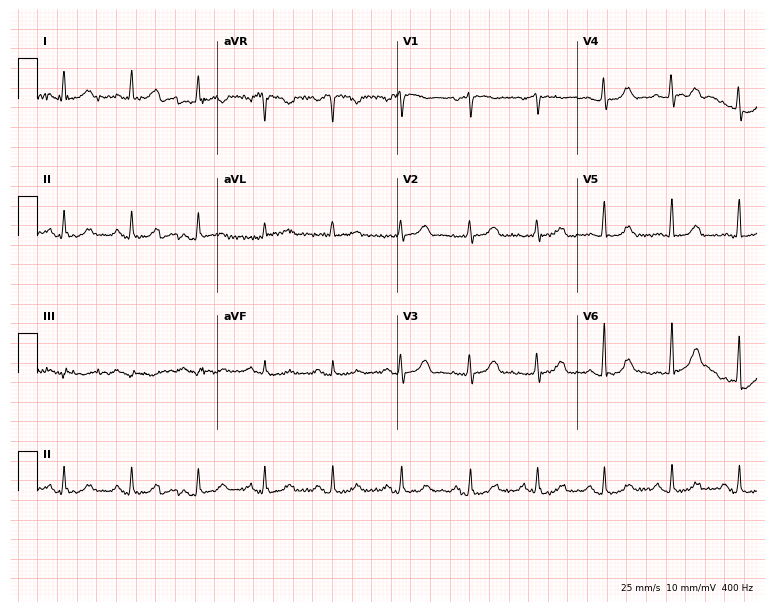
12-lead ECG (7.3-second recording at 400 Hz) from a 69-year-old male. Labelled as a normal ECG.